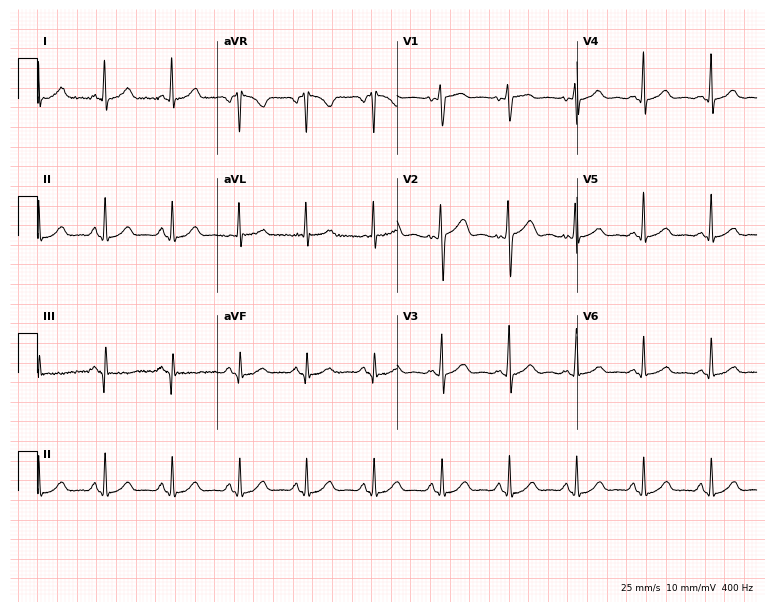
ECG (7.3-second recording at 400 Hz) — a woman, 54 years old. Labelled as a normal ECG.